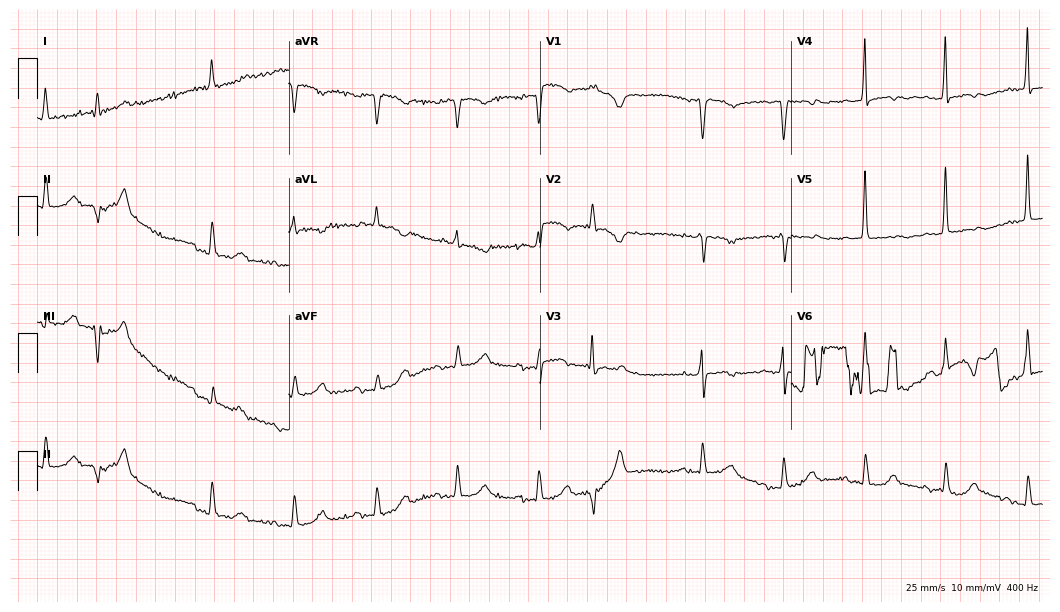
Electrocardiogram (10.2-second recording at 400 Hz), an 80-year-old female. Of the six screened findings (first-degree AV block, right bundle branch block, left bundle branch block, sinus bradycardia, atrial fibrillation, sinus tachycardia), none is recorded. Other findings, if any, are not listed.